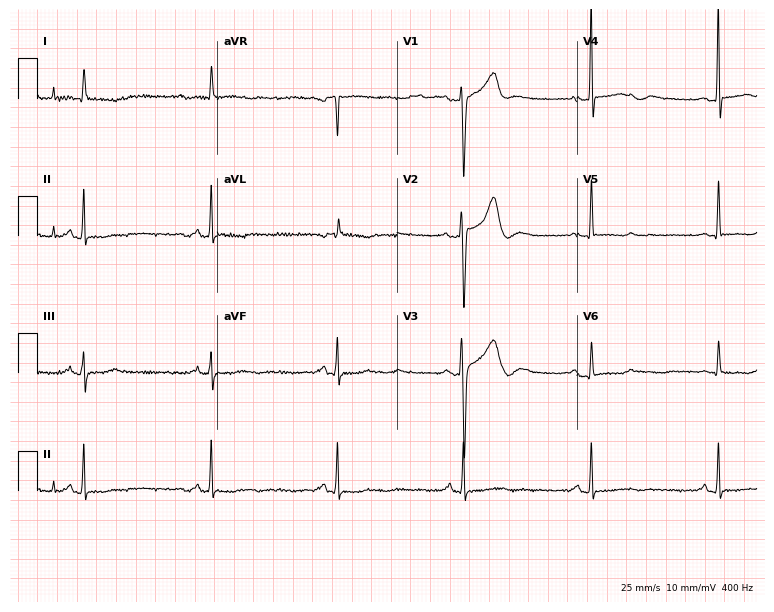
12-lead ECG from a man, 78 years old (7.3-second recording at 400 Hz). Shows sinus bradycardia (a sinus rate of 50 beats per minute or less).